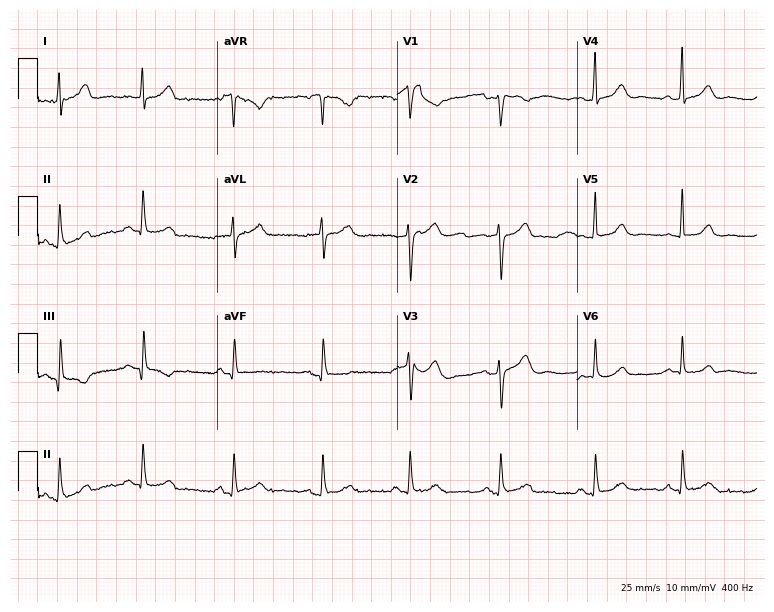
ECG (7.3-second recording at 400 Hz) — a 53-year-old woman. Screened for six findings — first-degree AV block, right bundle branch block, left bundle branch block, sinus bradycardia, atrial fibrillation, sinus tachycardia — none is recorded. Other findings, if any, are not listed.